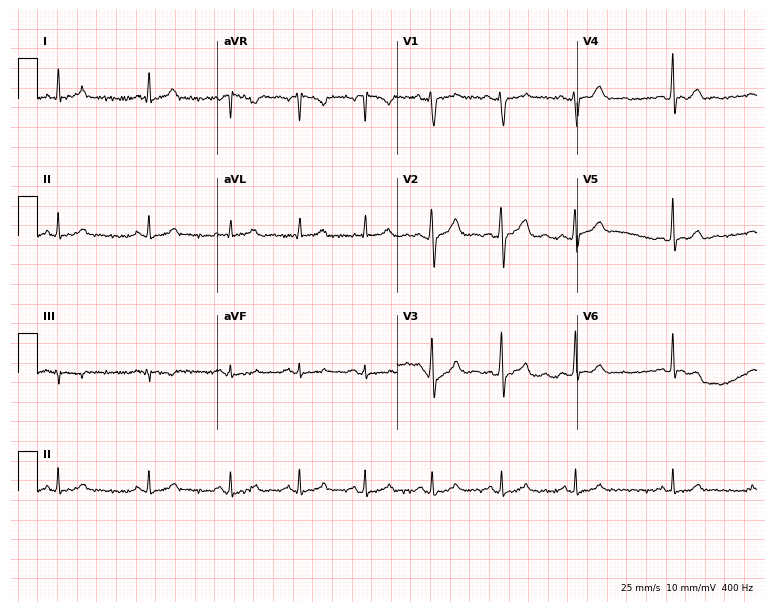
Electrocardiogram (7.3-second recording at 400 Hz), a man, 42 years old. Of the six screened findings (first-degree AV block, right bundle branch block, left bundle branch block, sinus bradycardia, atrial fibrillation, sinus tachycardia), none is recorded.